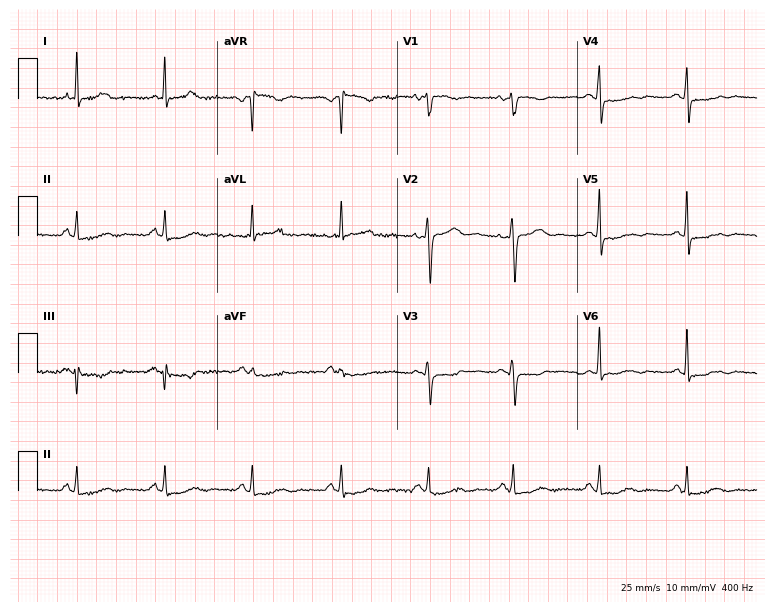
Resting 12-lead electrocardiogram. Patient: a female, 53 years old. None of these six findings is recorded: first-degree AV block, right bundle branch block, left bundle branch block, sinus bradycardia, atrial fibrillation, sinus tachycardia.